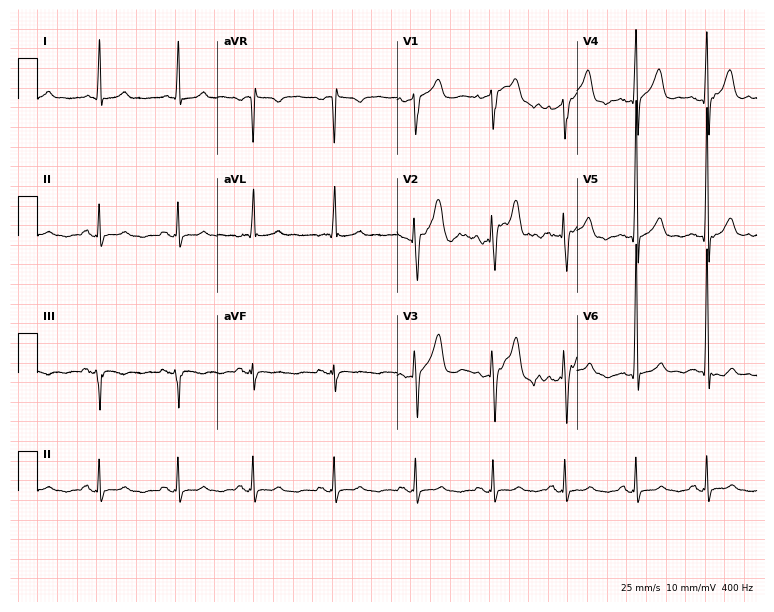
ECG — a male patient, 73 years old. Labelled as a normal ECG.